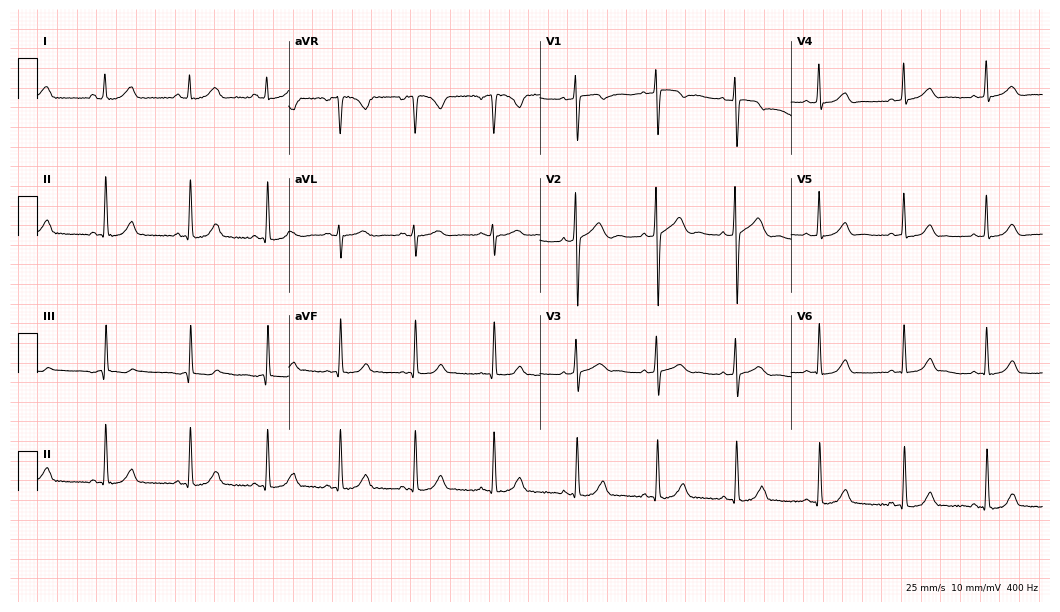
Standard 12-lead ECG recorded from a 28-year-old woman (10.2-second recording at 400 Hz). None of these six findings is recorded: first-degree AV block, right bundle branch block, left bundle branch block, sinus bradycardia, atrial fibrillation, sinus tachycardia. Findings outside these six are not listed.